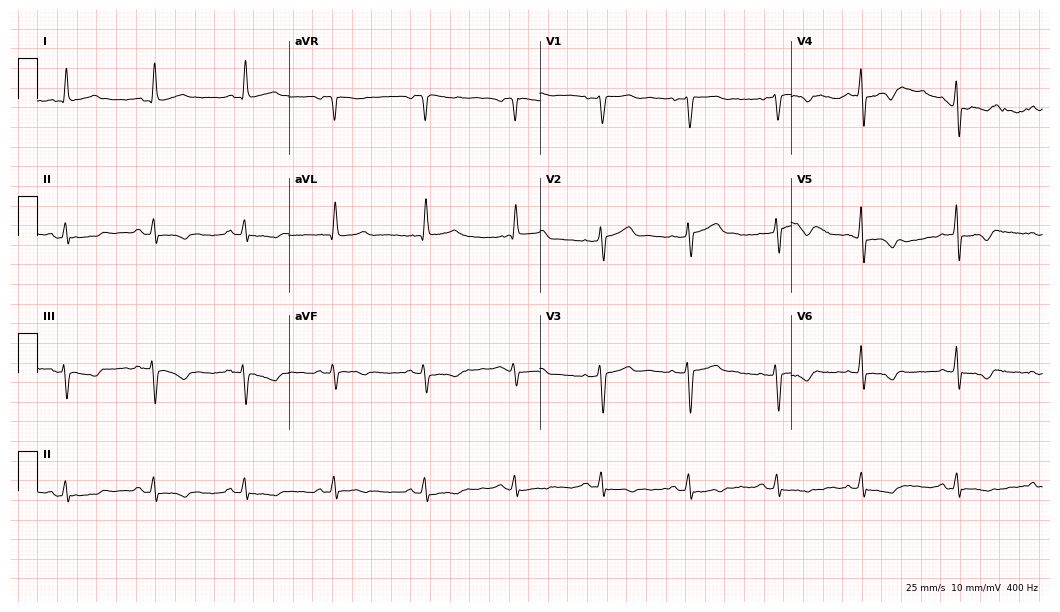
Resting 12-lead electrocardiogram (10.2-second recording at 400 Hz). Patient: a male, 67 years old. None of these six findings is recorded: first-degree AV block, right bundle branch block, left bundle branch block, sinus bradycardia, atrial fibrillation, sinus tachycardia.